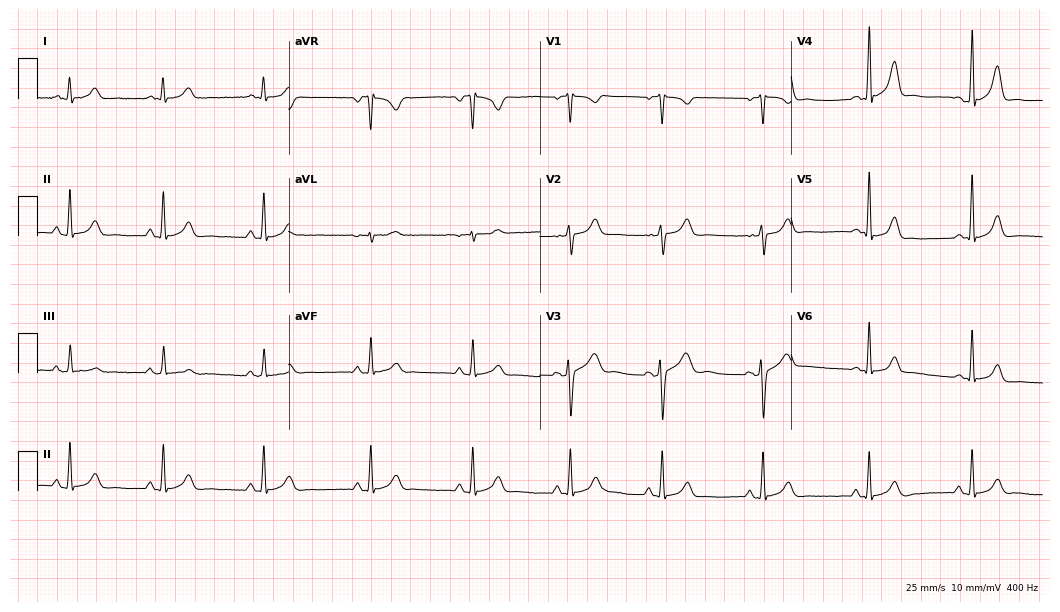
Standard 12-lead ECG recorded from a 19-year-old female (10.2-second recording at 400 Hz). None of these six findings is recorded: first-degree AV block, right bundle branch block (RBBB), left bundle branch block (LBBB), sinus bradycardia, atrial fibrillation (AF), sinus tachycardia. Findings outside these six are not listed.